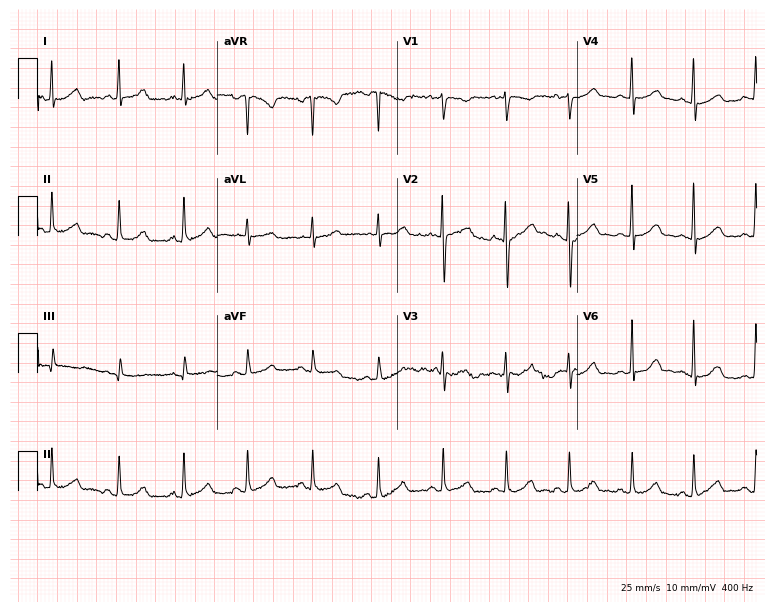
Electrocardiogram (7.3-second recording at 400 Hz), a female patient, 21 years old. Overall reading on record: normal ECG.